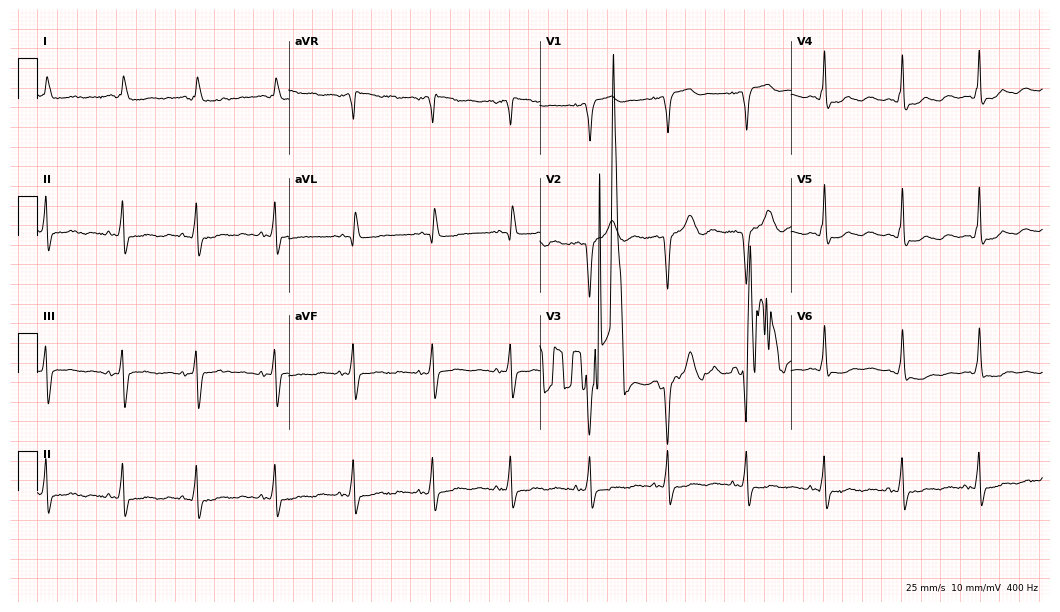
12-lead ECG (10.2-second recording at 400 Hz) from a woman, 74 years old. Screened for six findings — first-degree AV block, right bundle branch block, left bundle branch block, sinus bradycardia, atrial fibrillation, sinus tachycardia — none is recorded. Other findings, if any, are not listed.